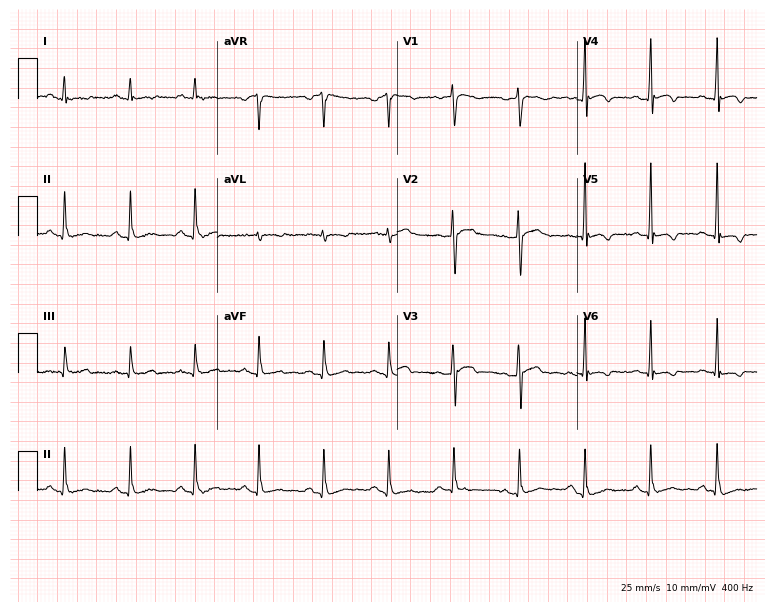
12-lead ECG from a 31-year-old male patient. Screened for six findings — first-degree AV block, right bundle branch block, left bundle branch block, sinus bradycardia, atrial fibrillation, sinus tachycardia — none is recorded.